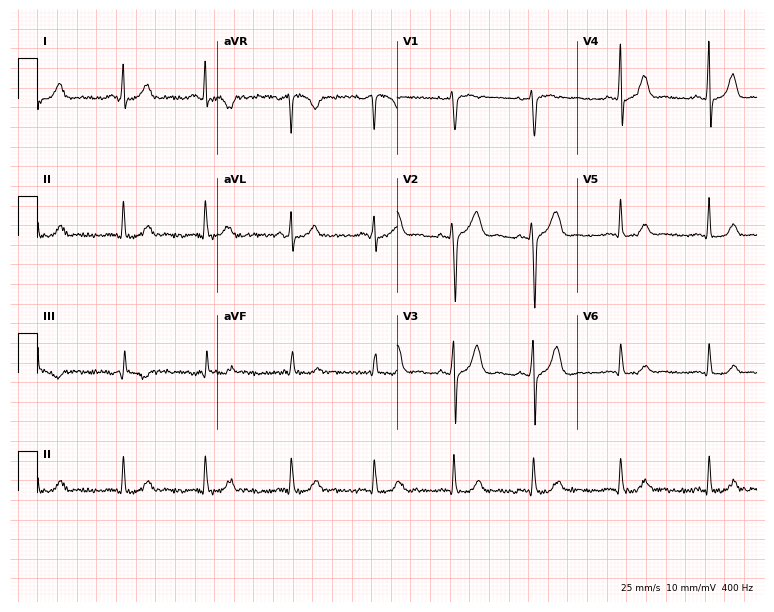
12-lead ECG (7.3-second recording at 400 Hz) from a 37-year-old woman. Labelled as a normal ECG.